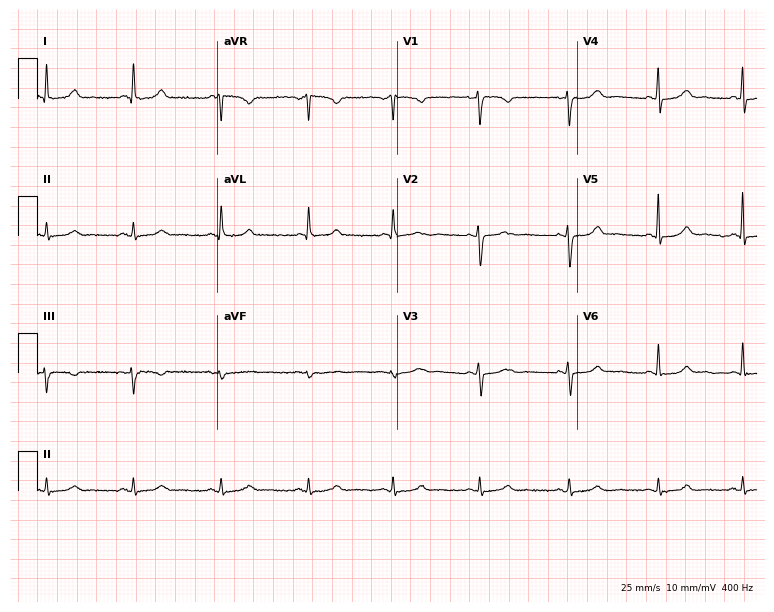
Standard 12-lead ECG recorded from a 51-year-old woman. Read as a normal ECG.